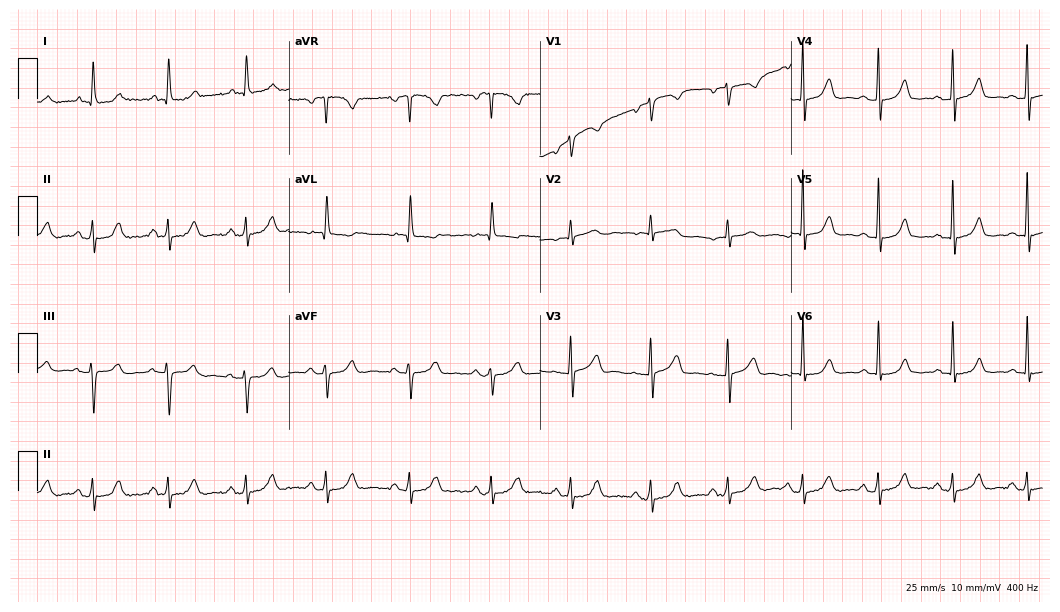
ECG (10.2-second recording at 400 Hz) — a female patient, 73 years old. Labelled as a normal ECG.